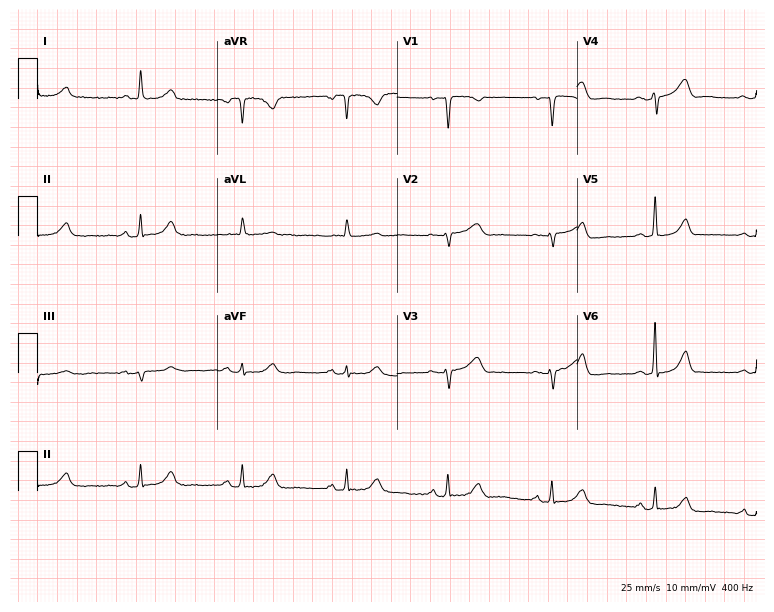
ECG (7.3-second recording at 400 Hz) — a female patient, 52 years old. Screened for six findings — first-degree AV block, right bundle branch block, left bundle branch block, sinus bradycardia, atrial fibrillation, sinus tachycardia — none is recorded. Findings outside these six are not listed.